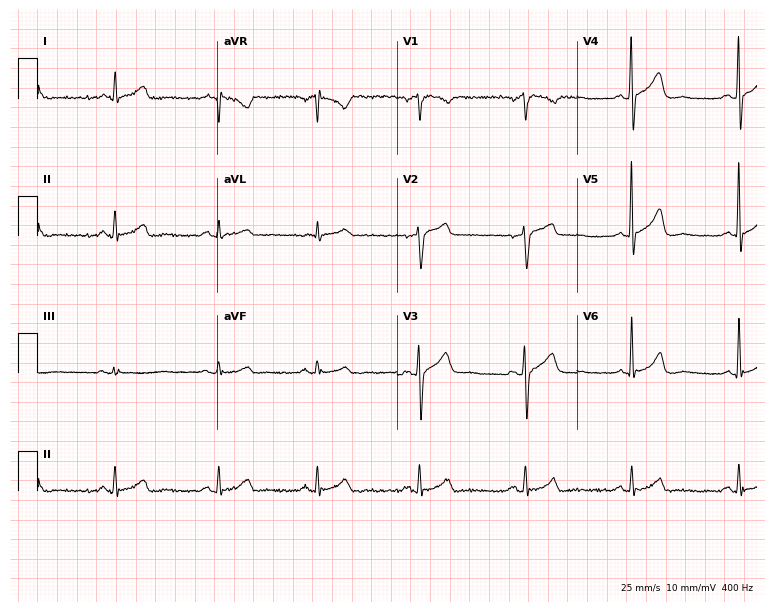
Electrocardiogram (7.3-second recording at 400 Hz), a man, 50 years old. Overall reading on record: normal ECG.